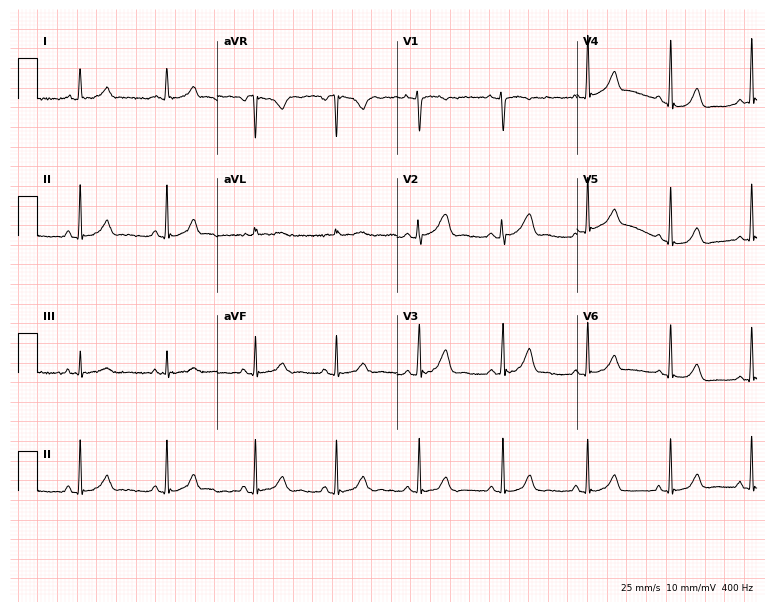
Electrocardiogram (7.3-second recording at 400 Hz), a 36-year-old woman. Overall reading on record: normal ECG.